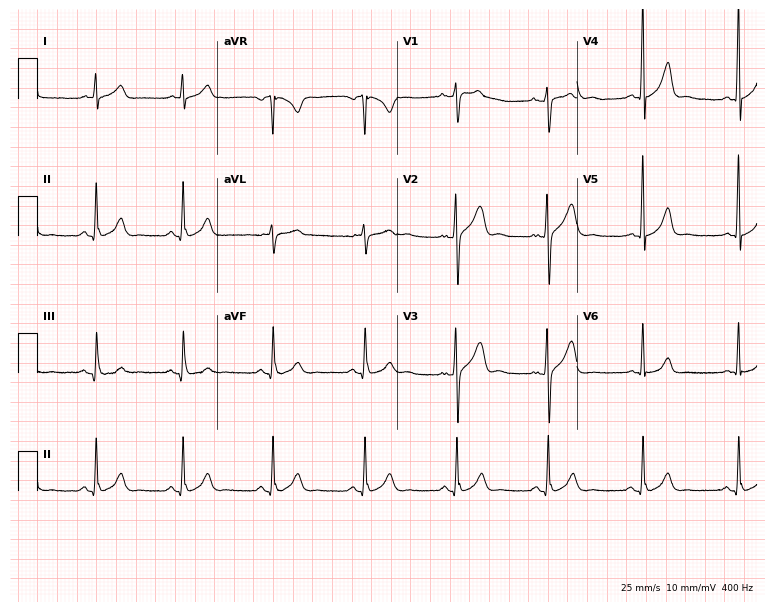
12-lead ECG from a male, 46 years old. Screened for six findings — first-degree AV block, right bundle branch block, left bundle branch block, sinus bradycardia, atrial fibrillation, sinus tachycardia — none is recorded.